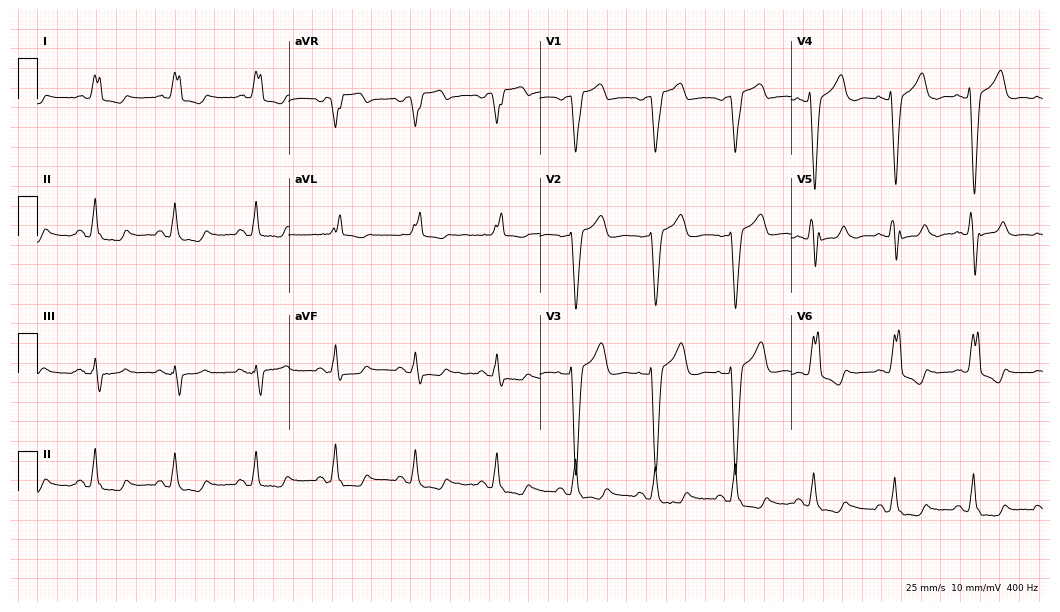
Electrocardiogram, a female patient, 74 years old. Interpretation includes left bundle branch block (LBBB).